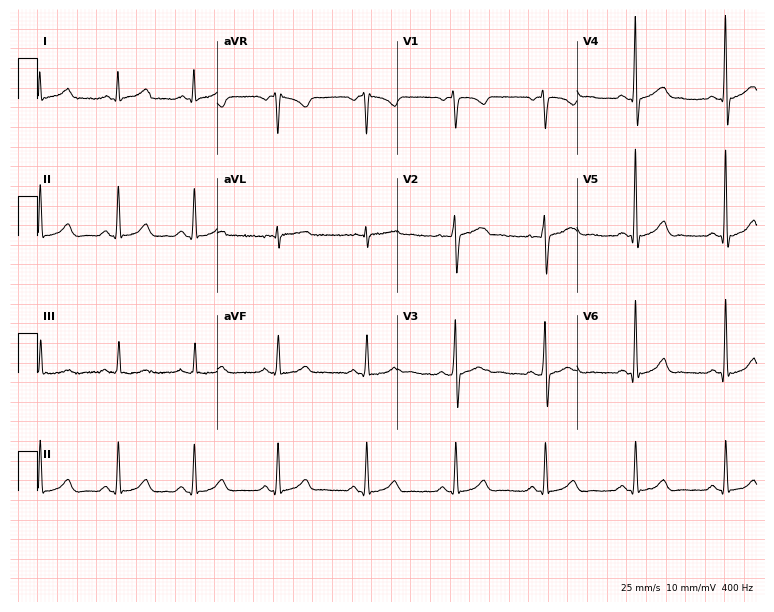
Standard 12-lead ECG recorded from a male patient, 34 years old. Read as a normal ECG.